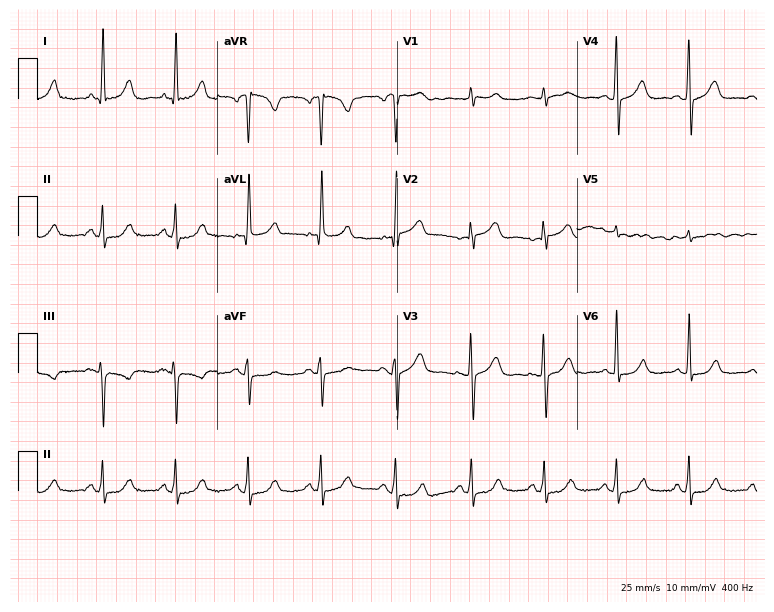
12-lead ECG from a 58-year-old woman. Labelled as a normal ECG.